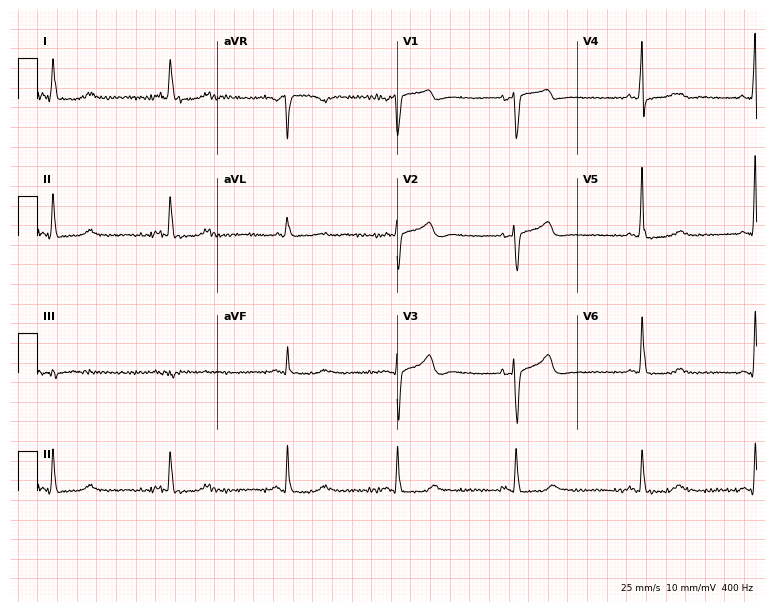
Electrocardiogram, a woman, 69 years old. Of the six screened findings (first-degree AV block, right bundle branch block, left bundle branch block, sinus bradycardia, atrial fibrillation, sinus tachycardia), none is recorded.